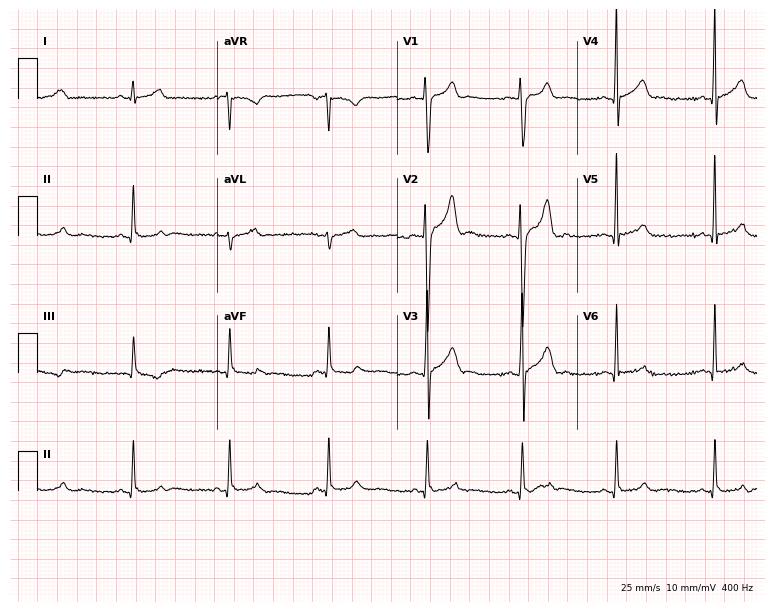
ECG — a 20-year-old man. Labelled as a normal ECG.